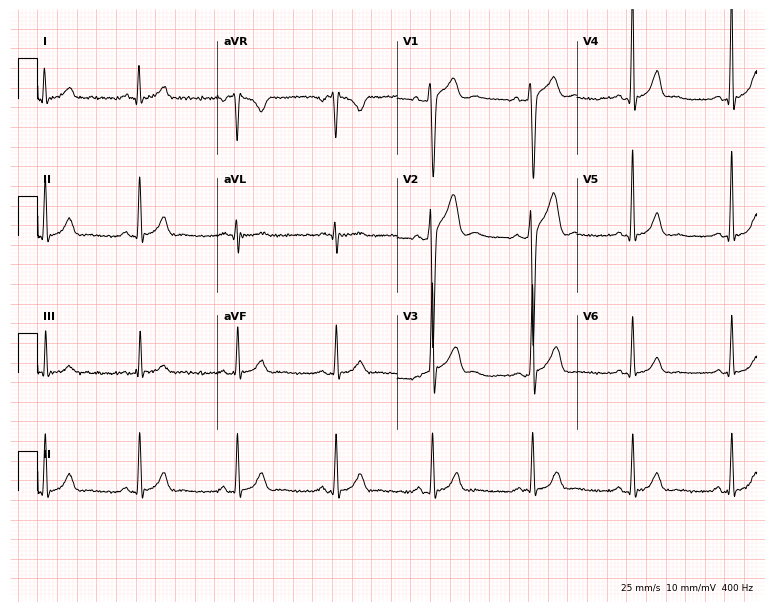
12-lead ECG from a man, 32 years old. Labelled as a normal ECG.